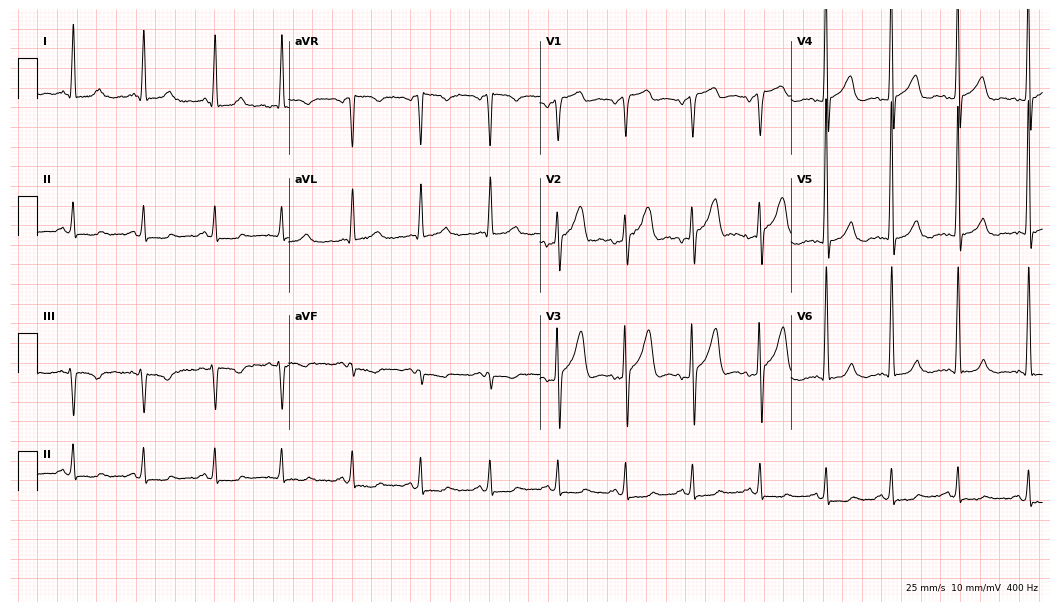
Standard 12-lead ECG recorded from a male, 75 years old (10.2-second recording at 400 Hz). Read as a normal ECG.